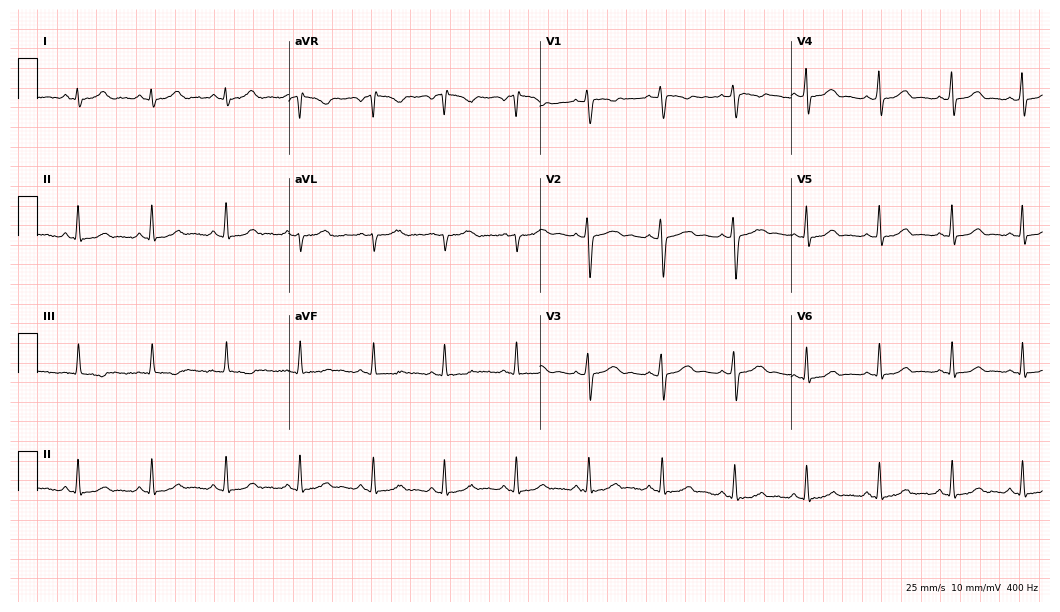
Standard 12-lead ECG recorded from a 22-year-old female (10.2-second recording at 400 Hz). Read as a normal ECG.